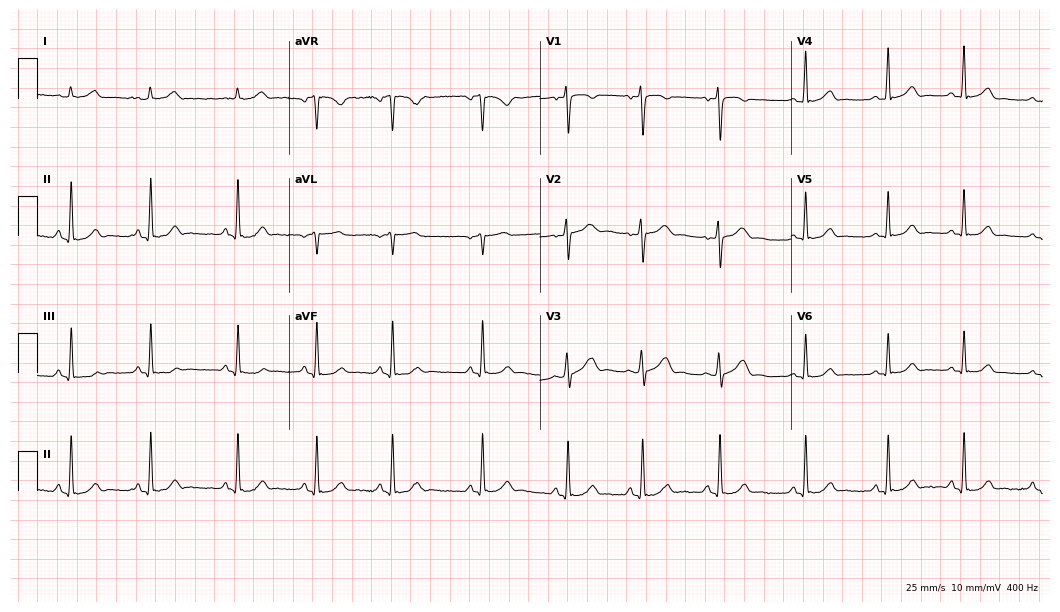
ECG — a female patient, 21 years old. Labelled as a normal ECG.